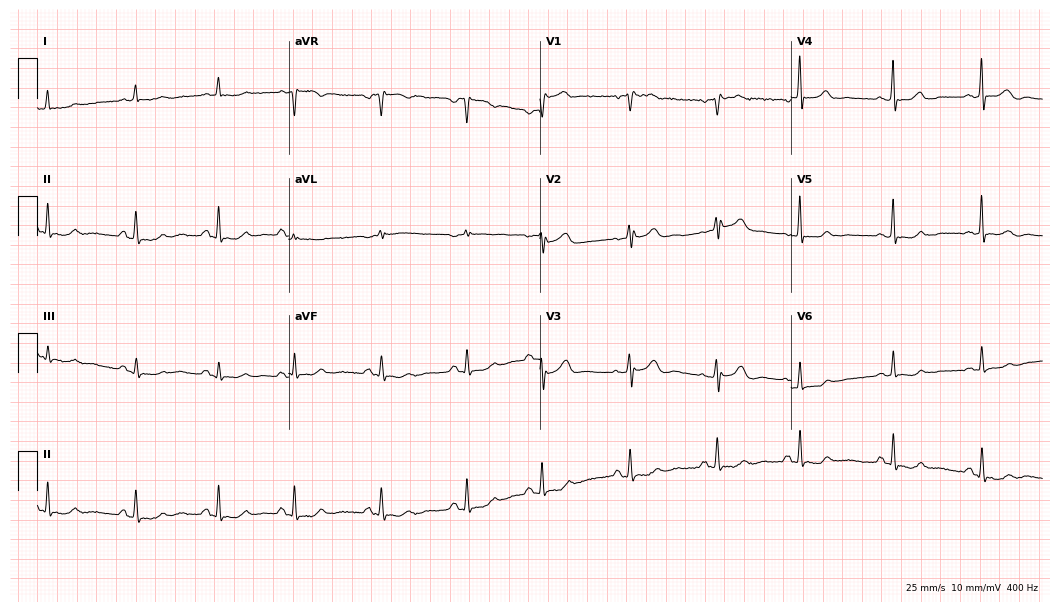
Electrocardiogram, a 79-year-old female patient. Overall reading on record: normal ECG.